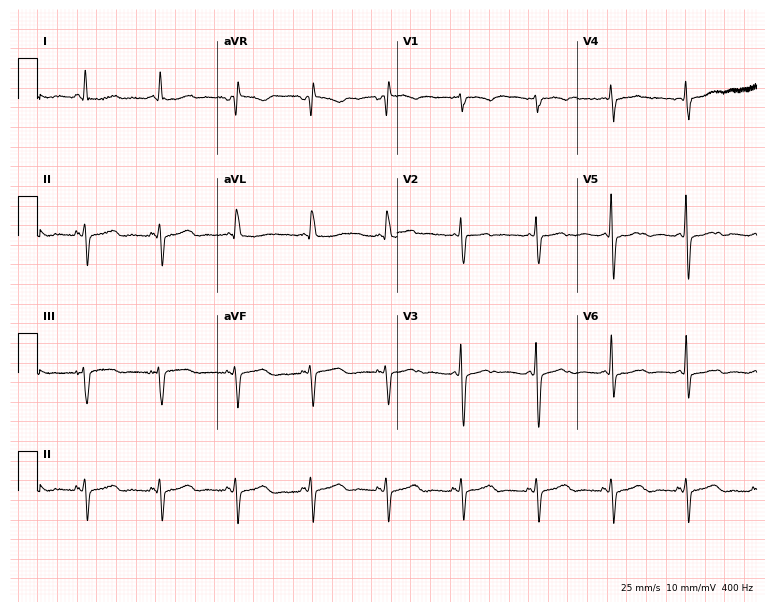
Electrocardiogram, a woman, 79 years old. Of the six screened findings (first-degree AV block, right bundle branch block, left bundle branch block, sinus bradycardia, atrial fibrillation, sinus tachycardia), none is recorded. Findings outside these six are not listed.